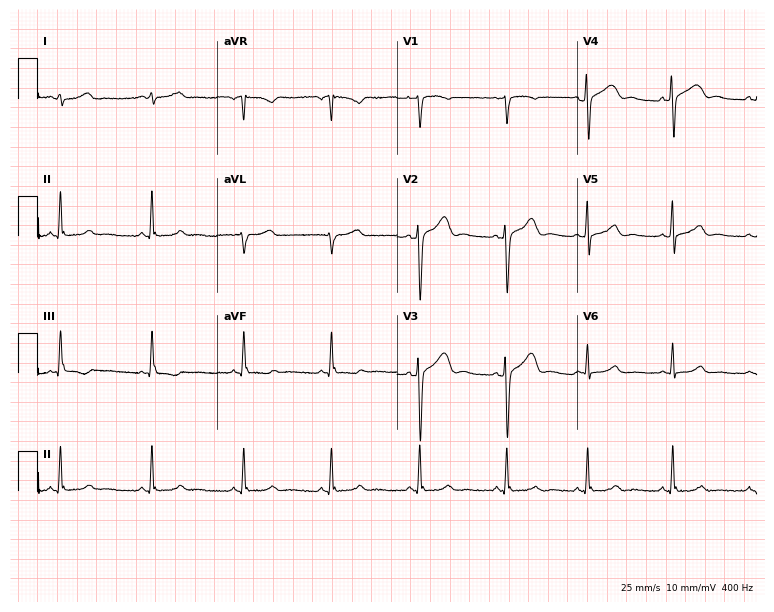
Standard 12-lead ECG recorded from a 24-year-old female (7.3-second recording at 400 Hz). None of these six findings is recorded: first-degree AV block, right bundle branch block (RBBB), left bundle branch block (LBBB), sinus bradycardia, atrial fibrillation (AF), sinus tachycardia. Findings outside these six are not listed.